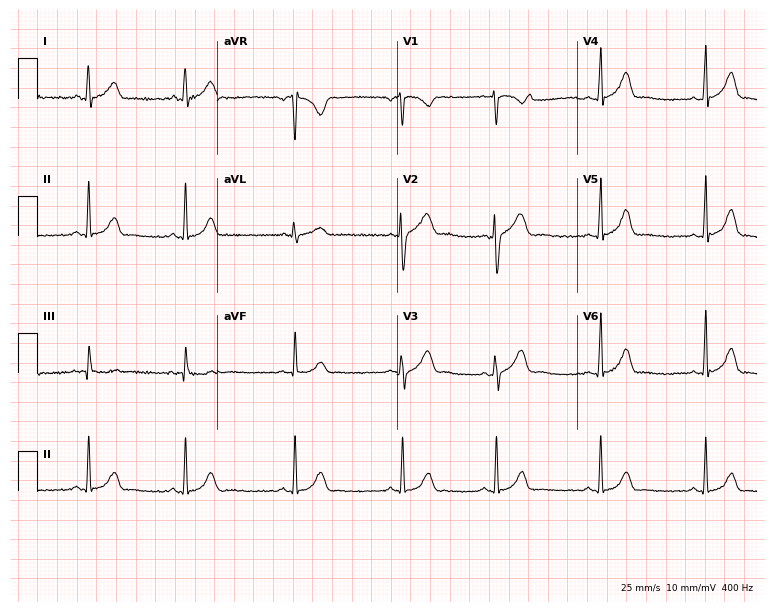
Resting 12-lead electrocardiogram (7.3-second recording at 400 Hz). Patient: a female, 22 years old. Read as a normal ECG.